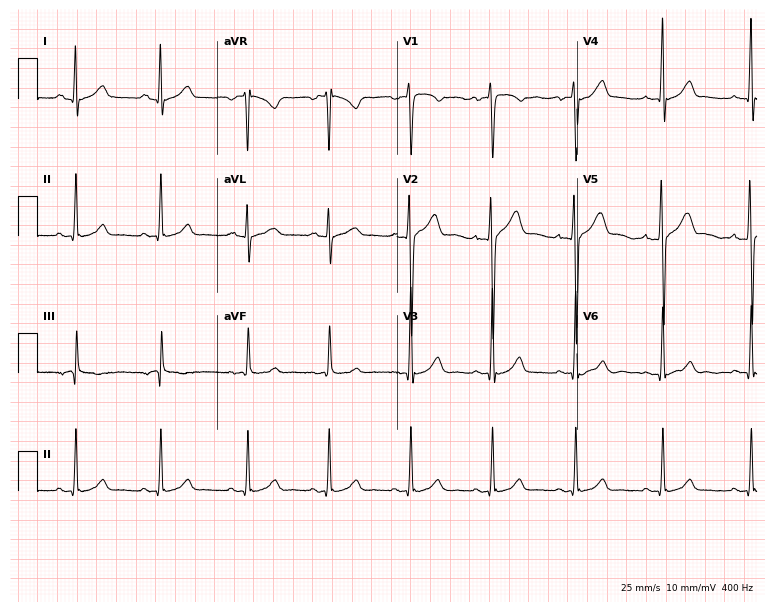
Electrocardiogram, a 30-year-old man. Overall reading on record: normal ECG.